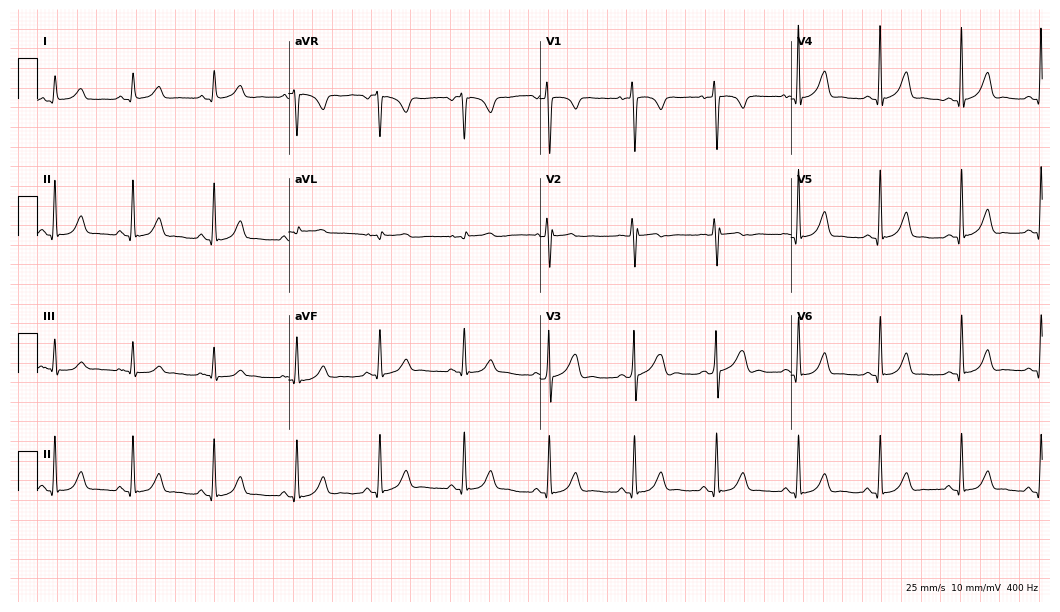
12-lead ECG from a female patient, 72 years old. Labelled as a normal ECG.